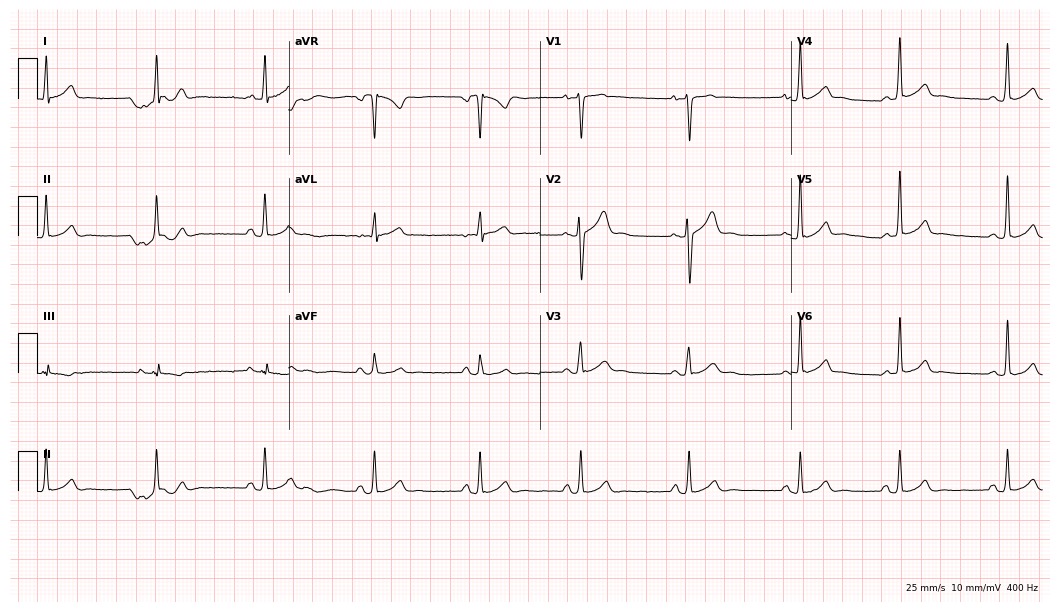
Standard 12-lead ECG recorded from an 18-year-old male. Read as a normal ECG.